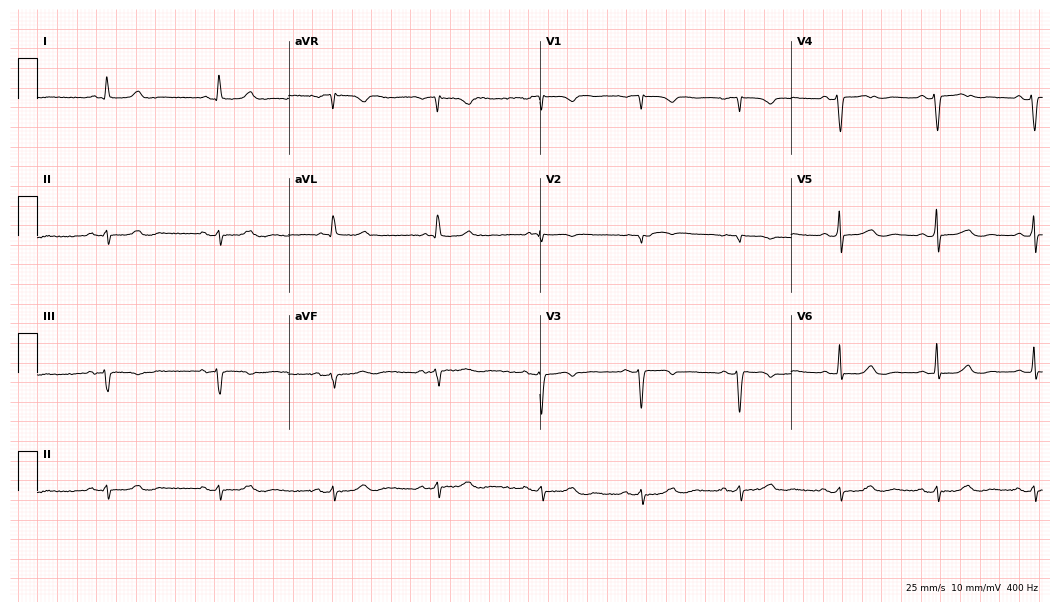
Standard 12-lead ECG recorded from a 77-year-old woman (10.2-second recording at 400 Hz). None of these six findings is recorded: first-degree AV block, right bundle branch block, left bundle branch block, sinus bradycardia, atrial fibrillation, sinus tachycardia.